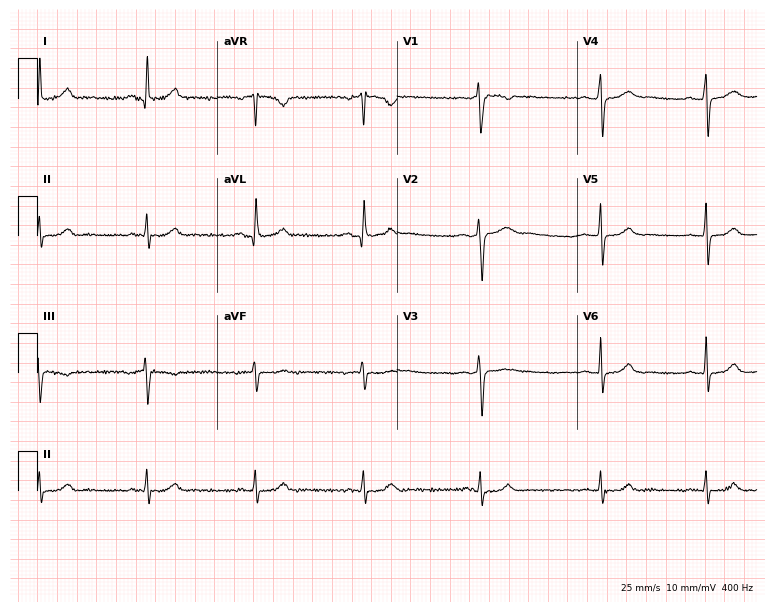
12-lead ECG (7.3-second recording at 400 Hz) from a woman, 32 years old. Labelled as a normal ECG.